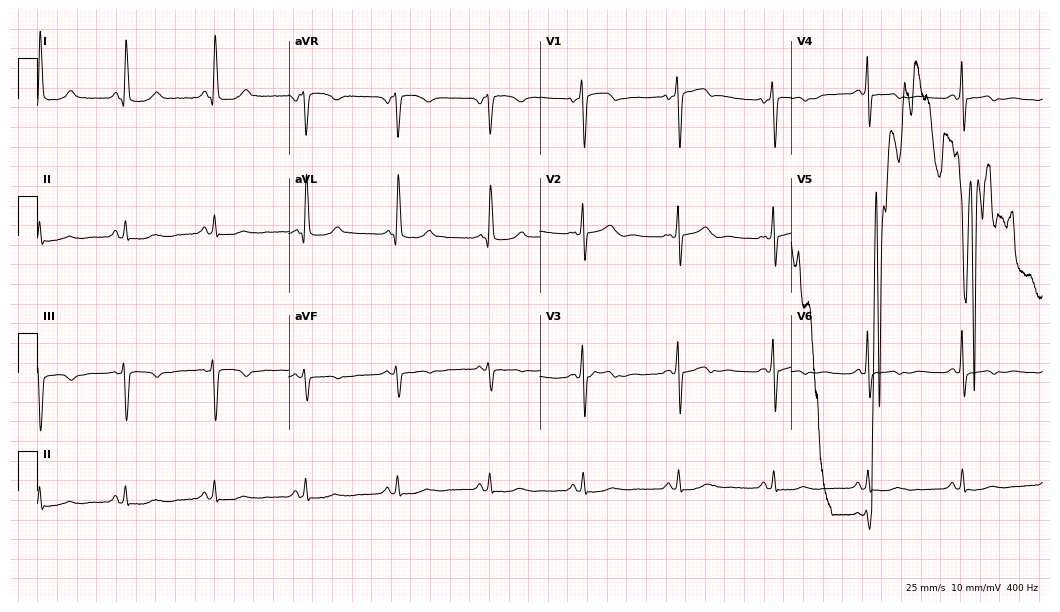
Electrocardiogram, a female patient, 73 years old. Of the six screened findings (first-degree AV block, right bundle branch block, left bundle branch block, sinus bradycardia, atrial fibrillation, sinus tachycardia), none is recorded. Other findings, if any, are not listed.